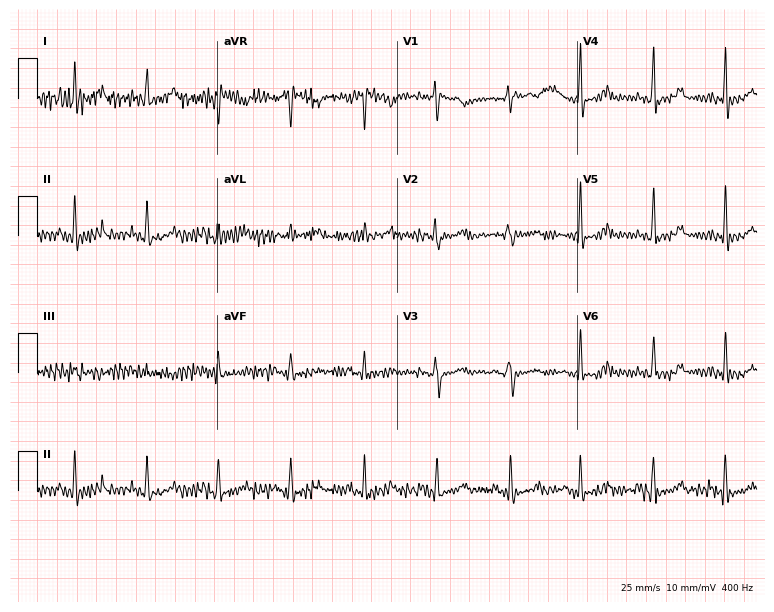
Resting 12-lead electrocardiogram. Patient: a 48-year-old female. None of these six findings is recorded: first-degree AV block, right bundle branch block, left bundle branch block, sinus bradycardia, atrial fibrillation, sinus tachycardia. Other findings, if any, are not listed.